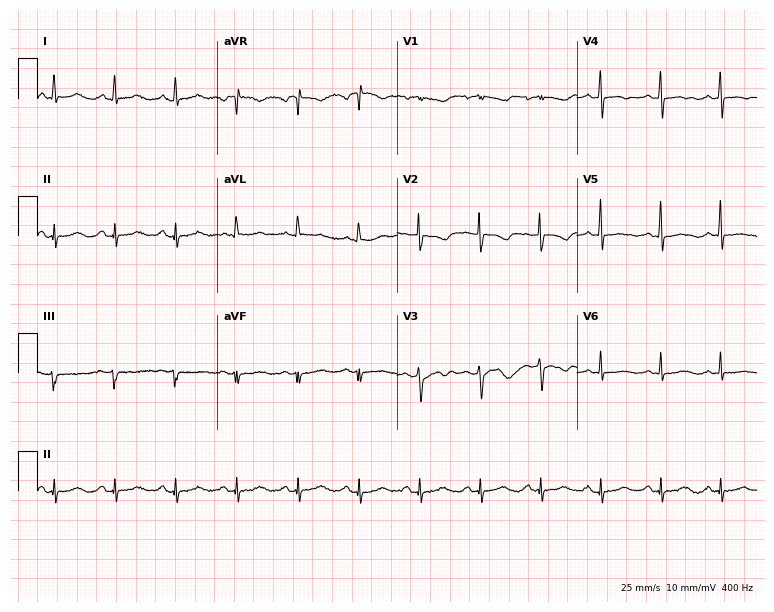
ECG — a woman, 68 years old. Screened for six findings — first-degree AV block, right bundle branch block, left bundle branch block, sinus bradycardia, atrial fibrillation, sinus tachycardia — none is recorded. Findings outside these six are not listed.